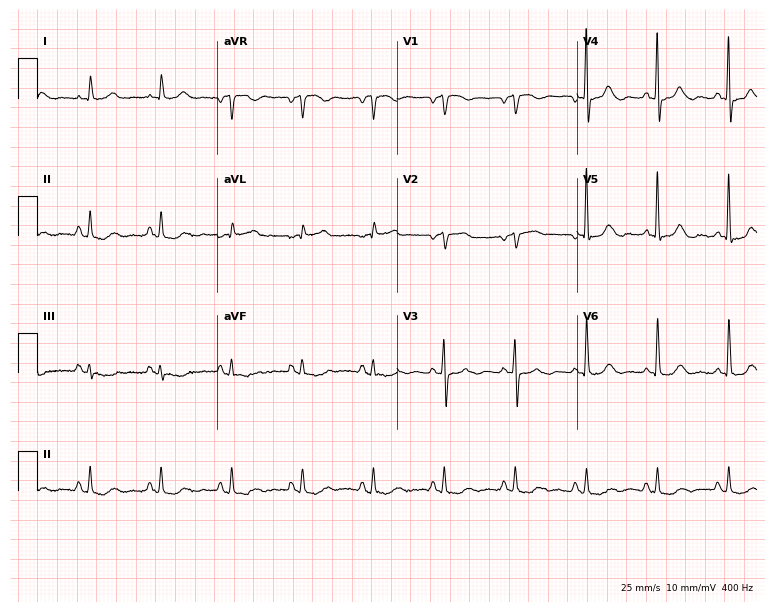
Electrocardiogram (7.3-second recording at 400 Hz), a 70-year-old female patient. Of the six screened findings (first-degree AV block, right bundle branch block, left bundle branch block, sinus bradycardia, atrial fibrillation, sinus tachycardia), none is recorded.